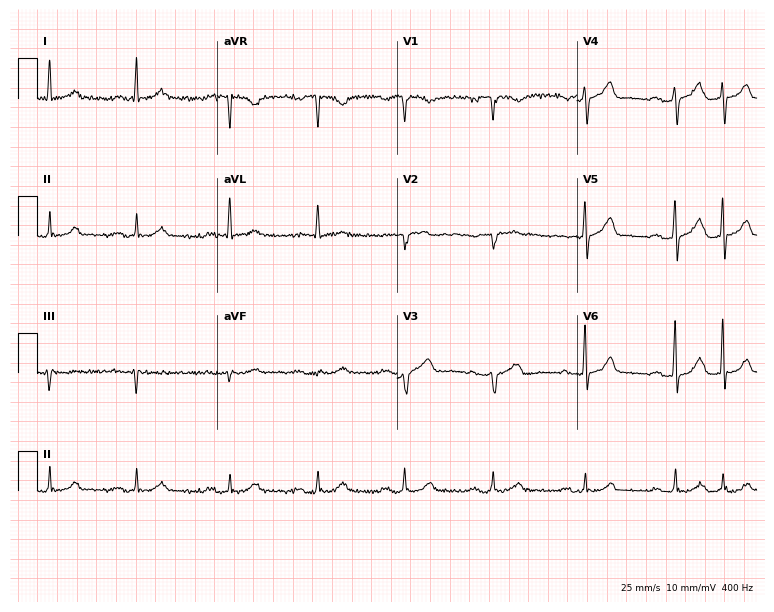
Standard 12-lead ECG recorded from a male patient, 61 years old. The tracing shows first-degree AV block.